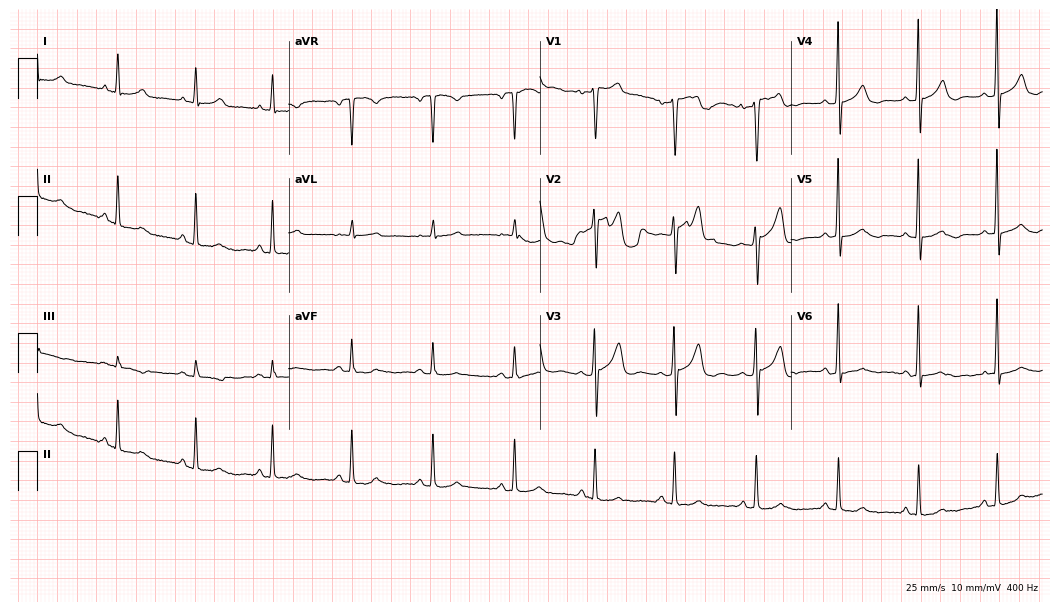
Electrocardiogram, a female, 60 years old. Of the six screened findings (first-degree AV block, right bundle branch block, left bundle branch block, sinus bradycardia, atrial fibrillation, sinus tachycardia), none is recorded.